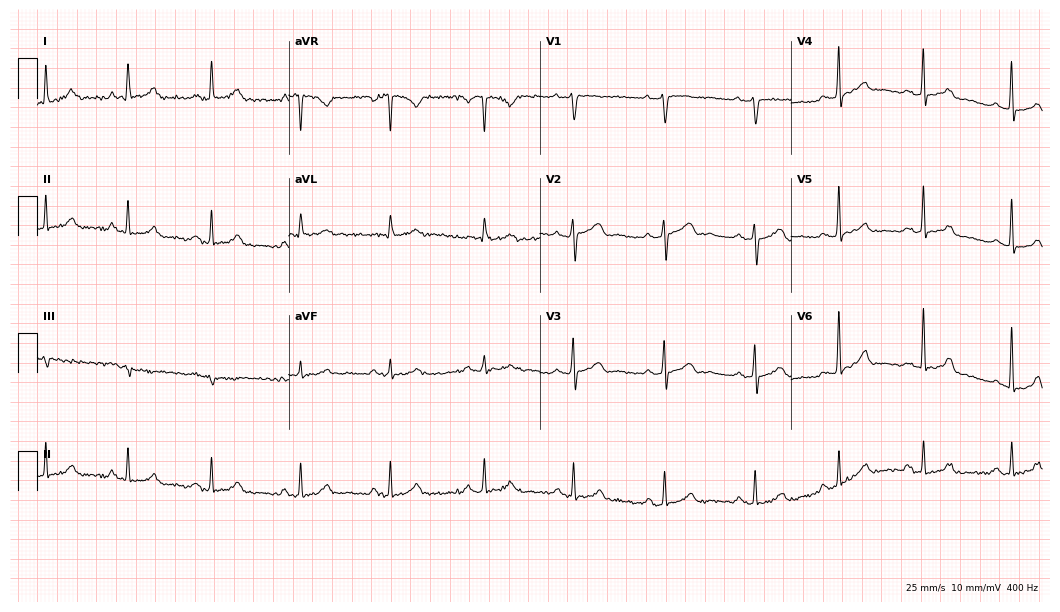
12-lead ECG (10.2-second recording at 400 Hz) from a 39-year-old female patient. Screened for six findings — first-degree AV block, right bundle branch block (RBBB), left bundle branch block (LBBB), sinus bradycardia, atrial fibrillation (AF), sinus tachycardia — none is recorded. Other findings, if any, are not listed.